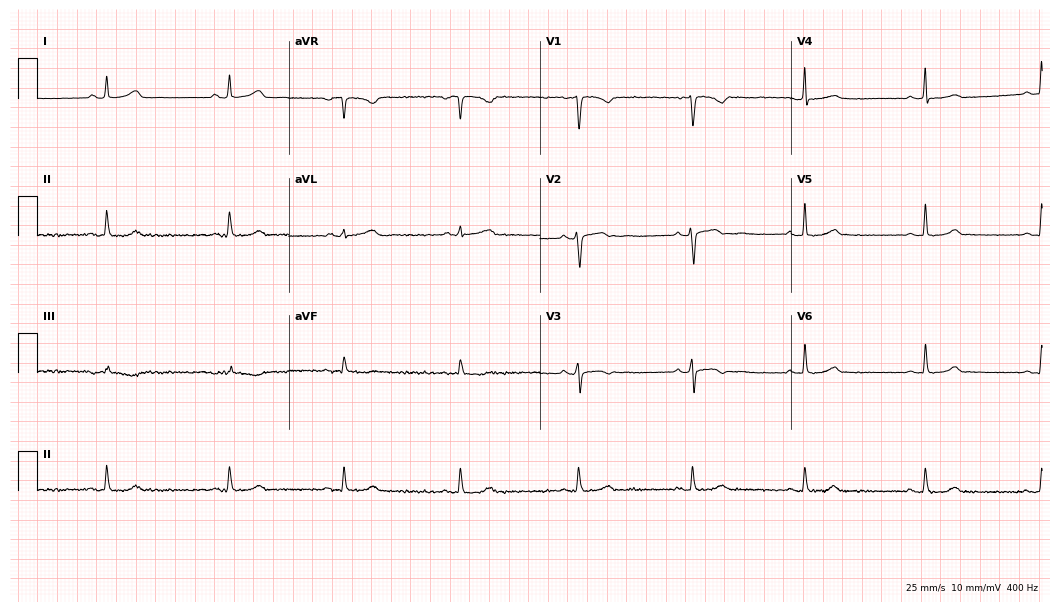
Electrocardiogram (10.2-second recording at 400 Hz), a 33-year-old female patient. Of the six screened findings (first-degree AV block, right bundle branch block (RBBB), left bundle branch block (LBBB), sinus bradycardia, atrial fibrillation (AF), sinus tachycardia), none is recorded. Other findings, if any, are not listed.